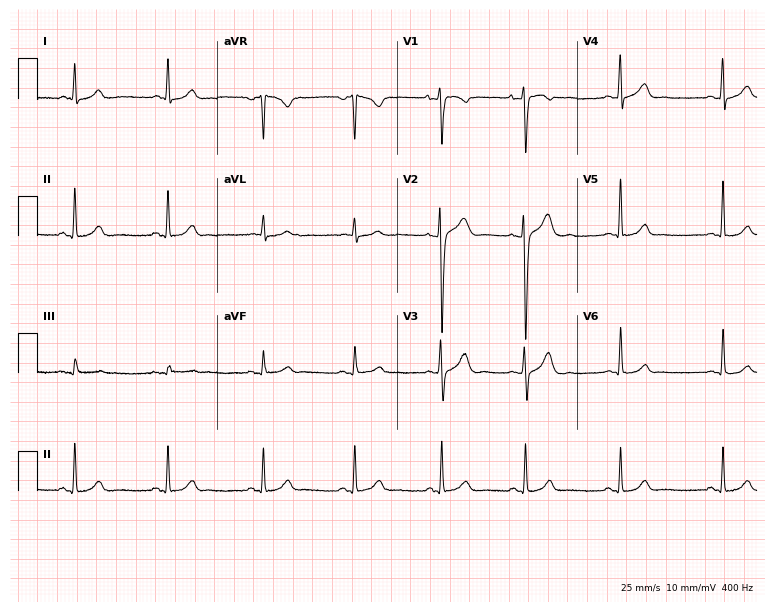
Standard 12-lead ECG recorded from a 19-year-old male (7.3-second recording at 400 Hz). Read as a normal ECG.